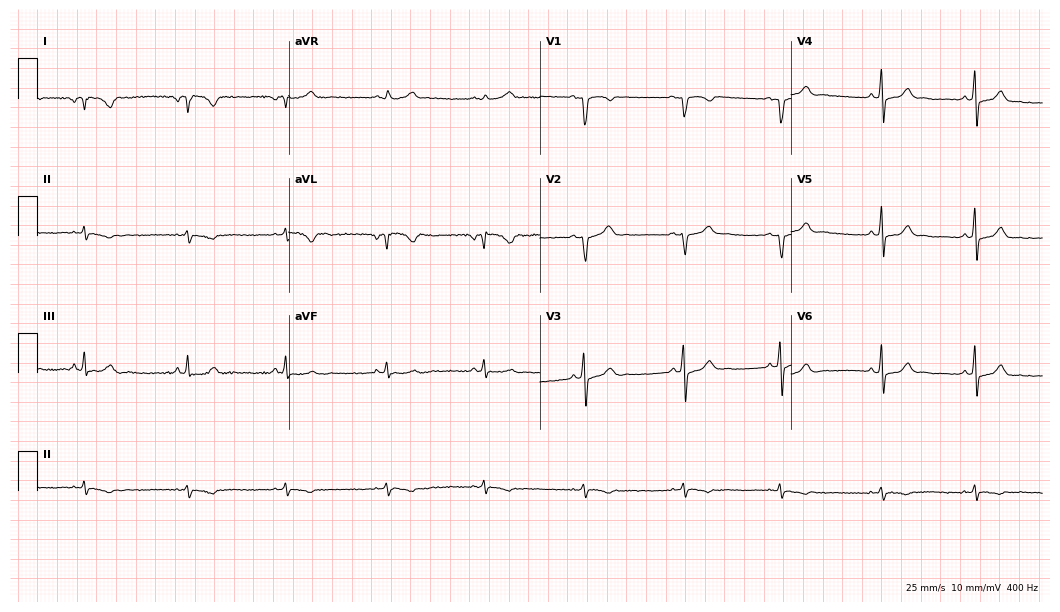
Standard 12-lead ECG recorded from a 23-year-old female patient (10.2-second recording at 400 Hz). None of these six findings is recorded: first-degree AV block, right bundle branch block, left bundle branch block, sinus bradycardia, atrial fibrillation, sinus tachycardia. Other findings, if any, are not listed.